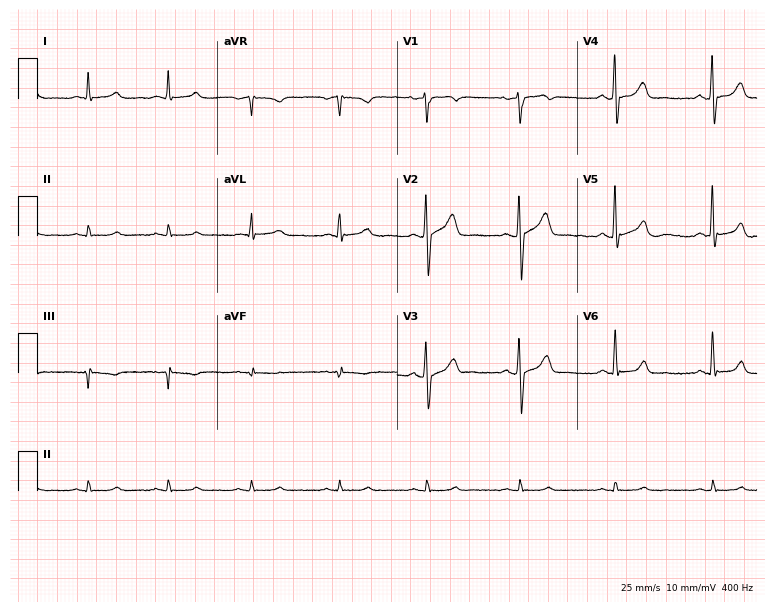
12-lead ECG (7.3-second recording at 400 Hz) from a male, 49 years old. Screened for six findings — first-degree AV block, right bundle branch block, left bundle branch block, sinus bradycardia, atrial fibrillation, sinus tachycardia — none is recorded. Other findings, if any, are not listed.